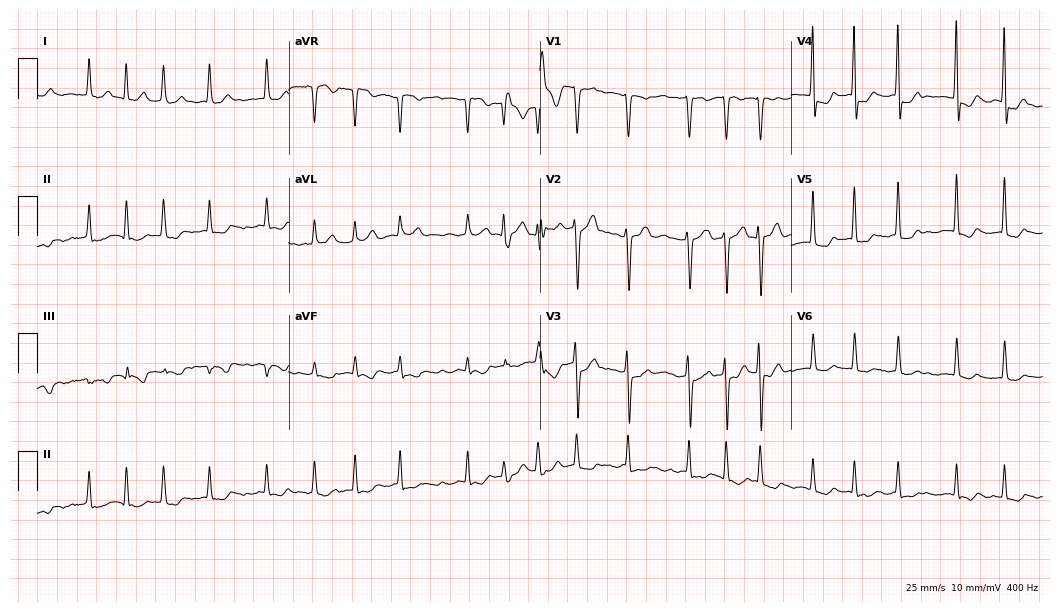
ECG (10.2-second recording at 400 Hz) — a male patient, 72 years old. Findings include atrial fibrillation (AF).